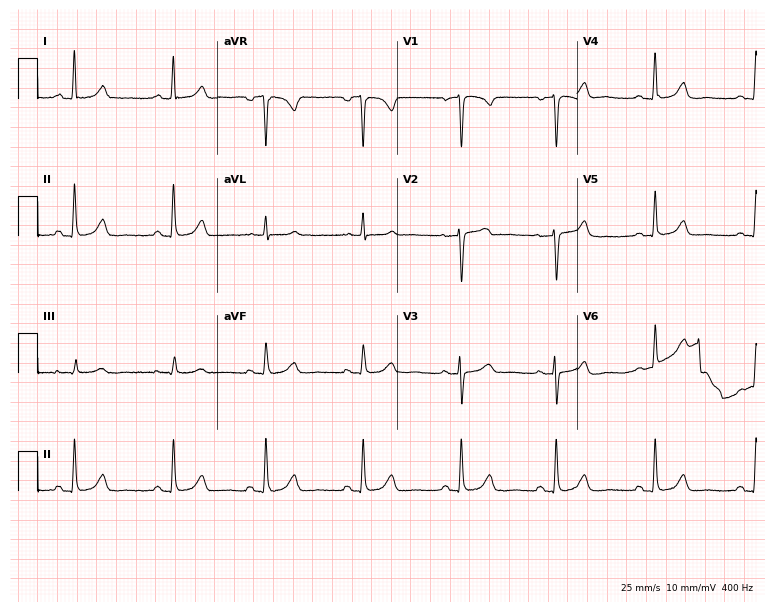
ECG (7.3-second recording at 400 Hz) — a female, 36 years old. Labelled as a normal ECG.